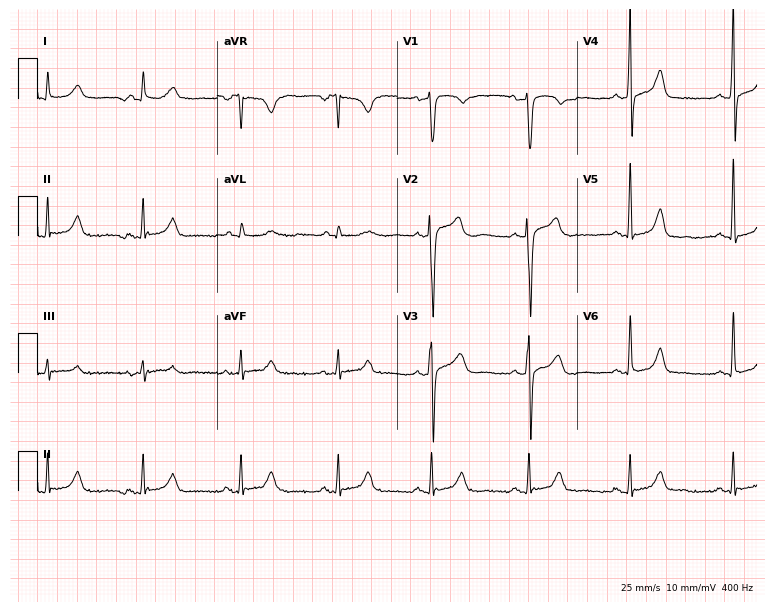
Electrocardiogram, a male patient, 58 years old. Of the six screened findings (first-degree AV block, right bundle branch block, left bundle branch block, sinus bradycardia, atrial fibrillation, sinus tachycardia), none is recorded.